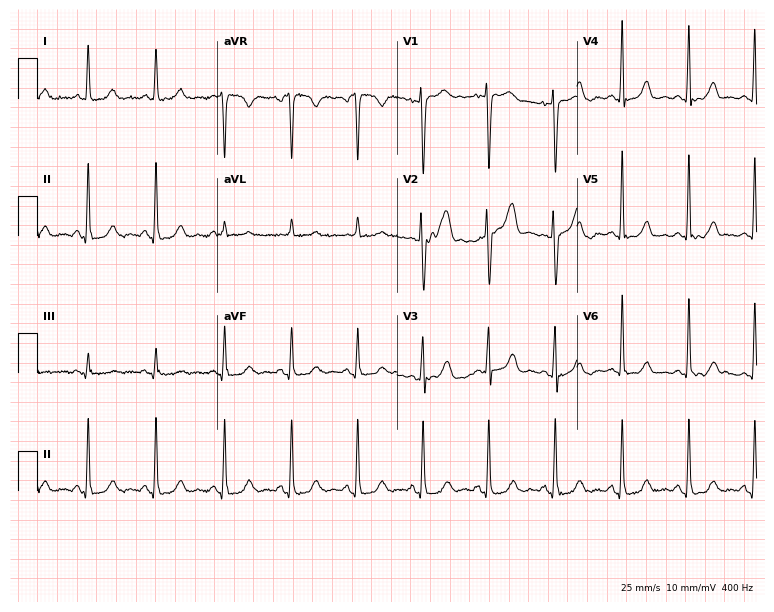
Electrocardiogram (7.3-second recording at 400 Hz), a woman, 53 years old. Overall reading on record: normal ECG.